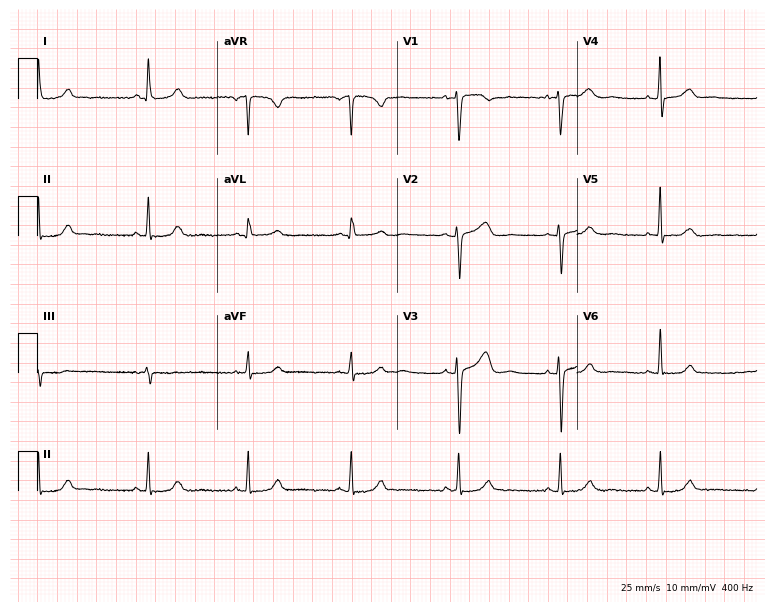
12-lead ECG from a 37-year-old woman. Recorded interpretation: within normal limits.